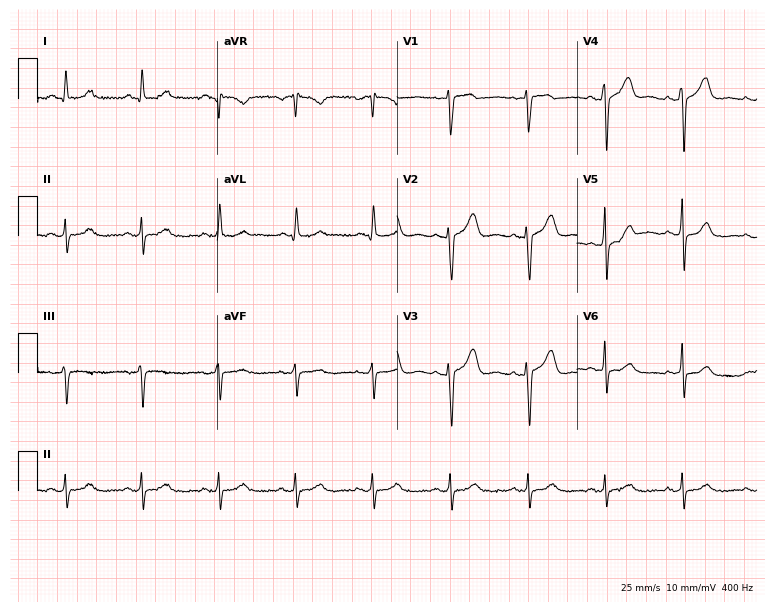
Standard 12-lead ECG recorded from a 58-year-old male (7.3-second recording at 400 Hz). Read as a normal ECG.